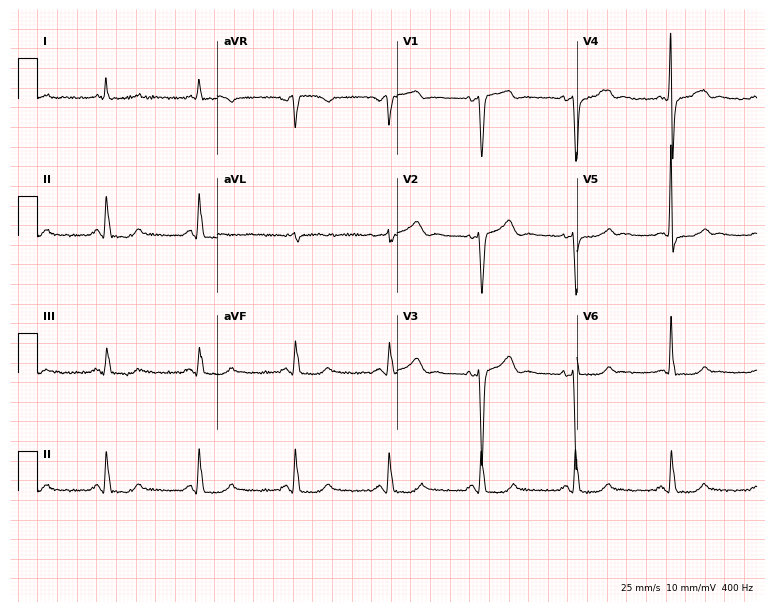
Electrocardiogram (7.3-second recording at 400 Hz), a female, 62 years old. Overall reading on record: normal ECG.